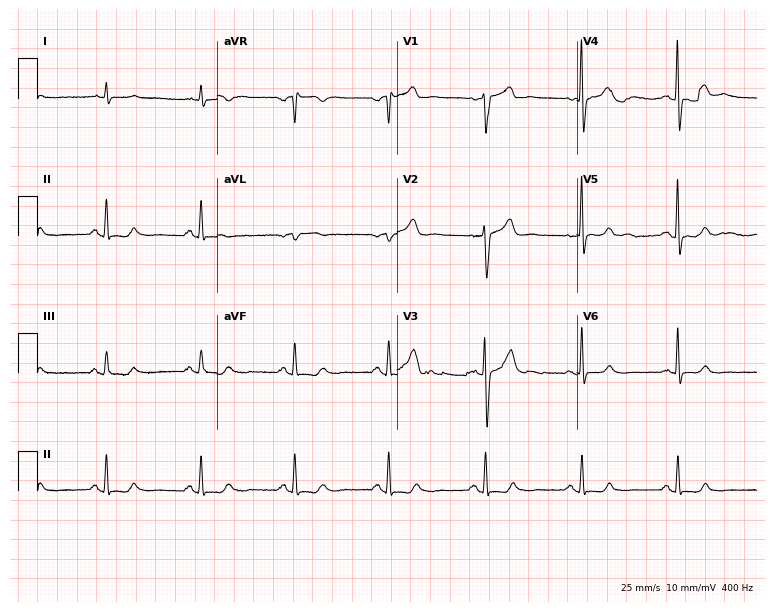
12-lead ECG from a 73-year-old male patient. Screened for six findings — first-degree AV block, right bundle branch block (RBBB), left bundle branch block (LBBB), sinus bradycardia, atrial fibrillation (AF), sinus tachycardia — none is recorded.